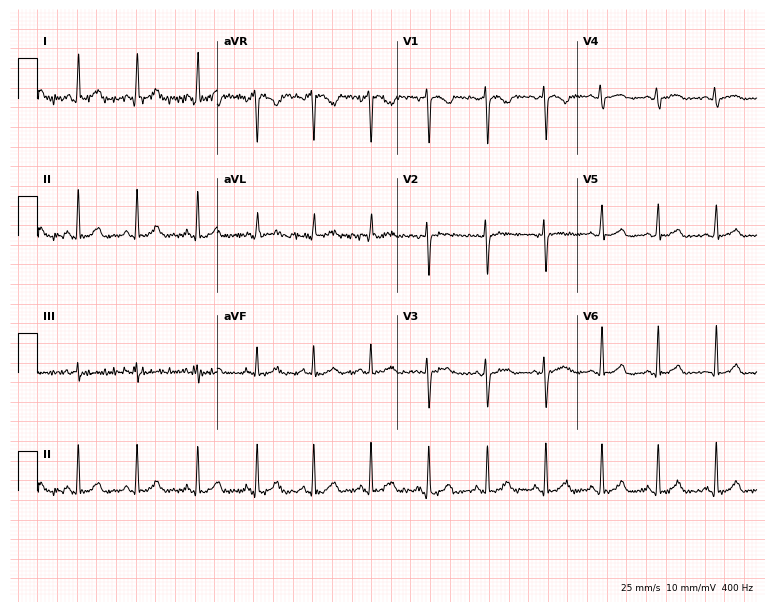
Resting 12-lead electrocardiogram. Patient: a 25-year-old woman. None of these six findings is recorded: first-degree AV block, right bundle branch block (RBBB), left bundle branch block (LBBB), sinus bradycardia, atrial fibrillation (AF), sinus tachycardia.